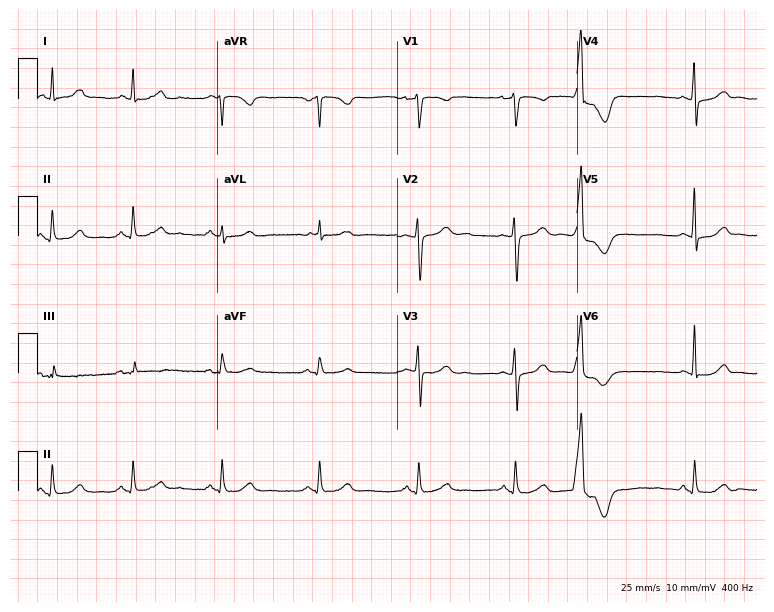
Resting 12-lead electrocardiogram (7.3-second recording at 400 Hz). Patient: a 48-year-old woman. None of these six findings is recorded: first-degree AV block, right bundle branch block, left bundle branch block, sinus bradycardia, atrial fibrillation, sinus tachycardia.